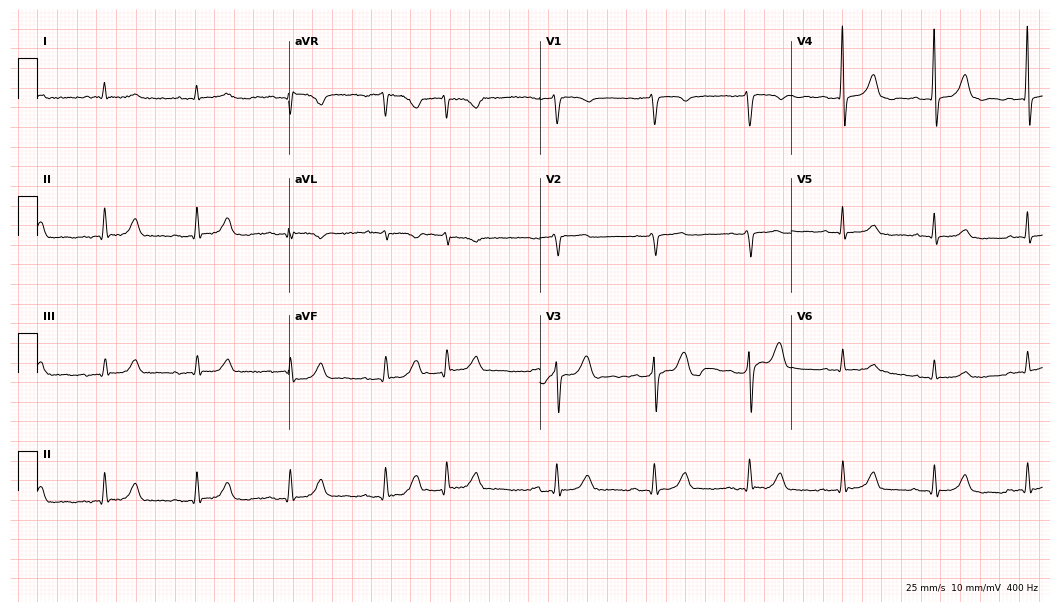
ECG (10.2-second recording at 400 Hz) — a 77-year-old male patient. Labelled as a normal ECG.